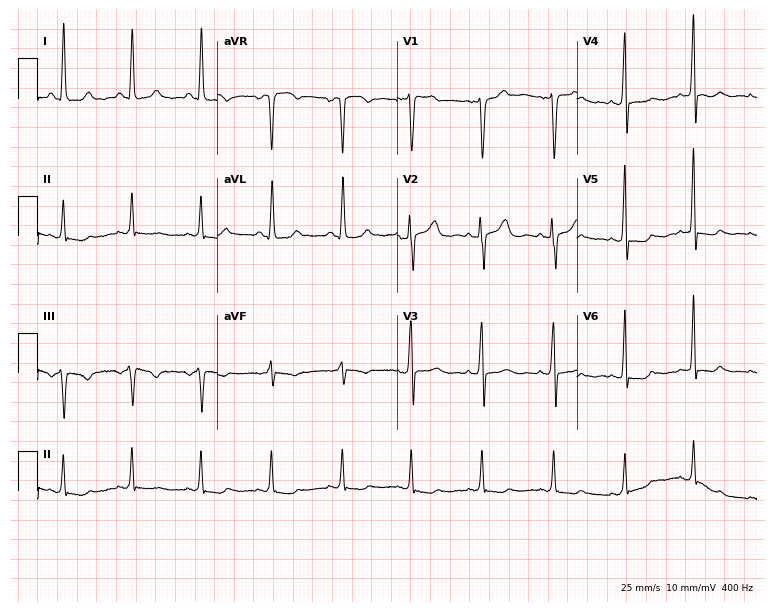
Resting 12-lead electrocardiogram (7.3-second recording at 400 Hz). Patient: a 58-year-old woman. None of these six findings is recorded: first-degree AV block, right bundle branch block, left bundle branch block, sinus bradycardia, atrial fibrillation, sinus tachycardia.